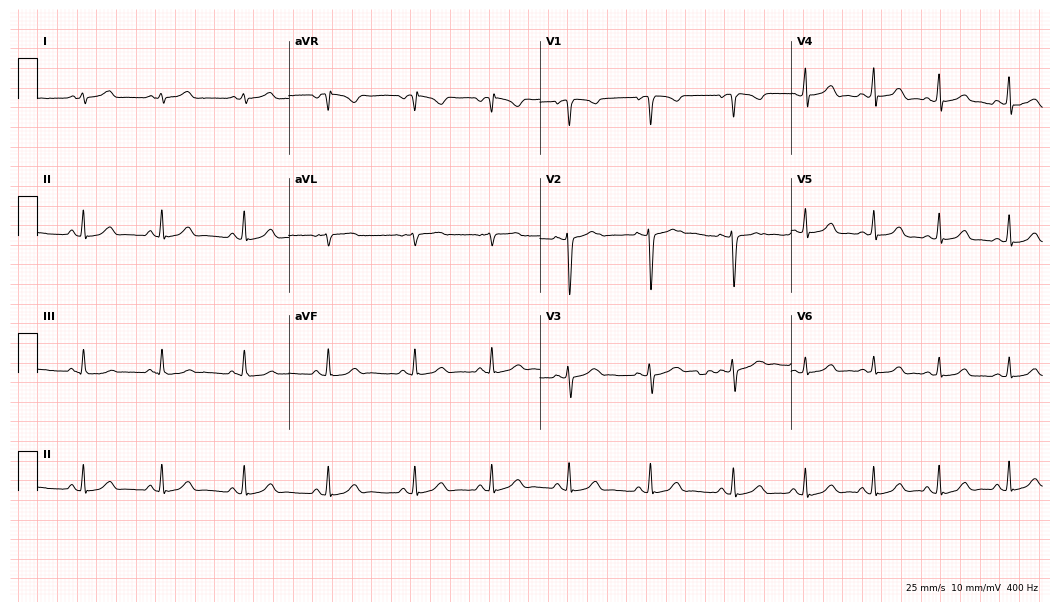
Resting 12-lead electrocardiogram (10.2-second recording at 400 Hz). Patient: a 27-year-old woman. Read as a normal ECG.